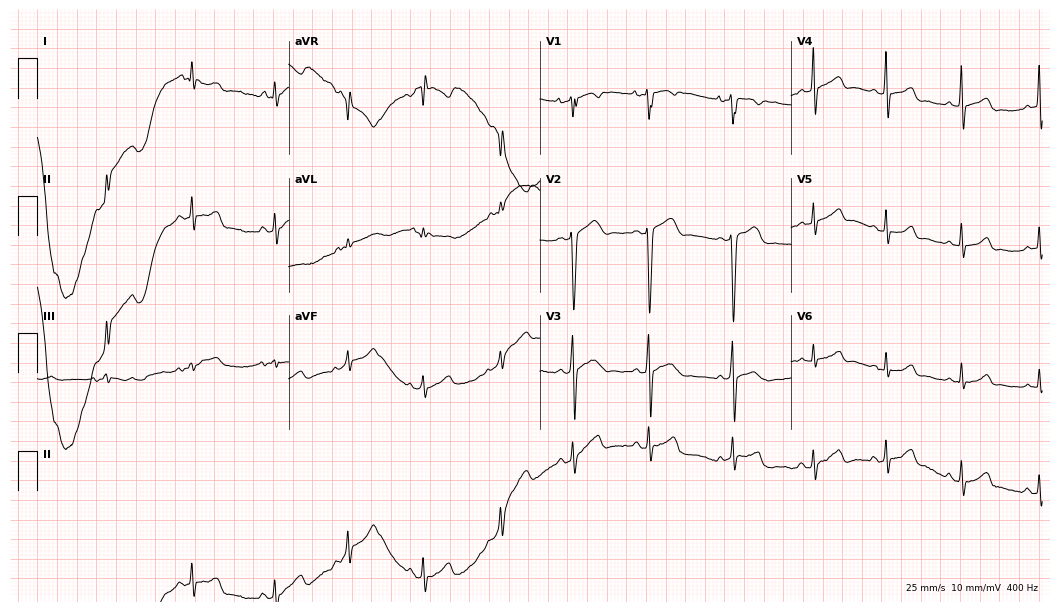
ECG (10.2-second recording at 400 Hz) — a 20-year-old man. Screened for six findings — first-degree AV block, right bundle branch block, left bundle branch block, sinus bradycardia, atrial fibrillation, sinus tachycardia — none is recorded.